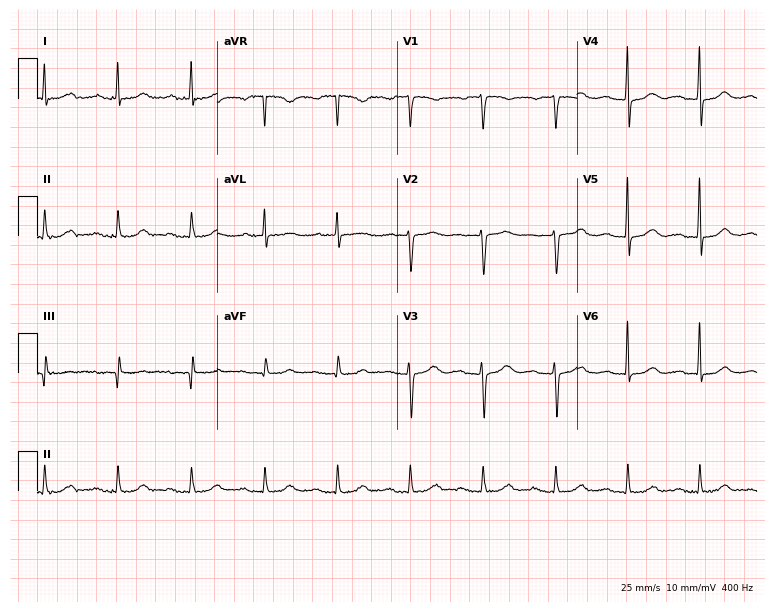
Electrocardiogram (7.3-second recording at 400 Hz), a female, 67 years old. Overall reading on record: normal ECG.